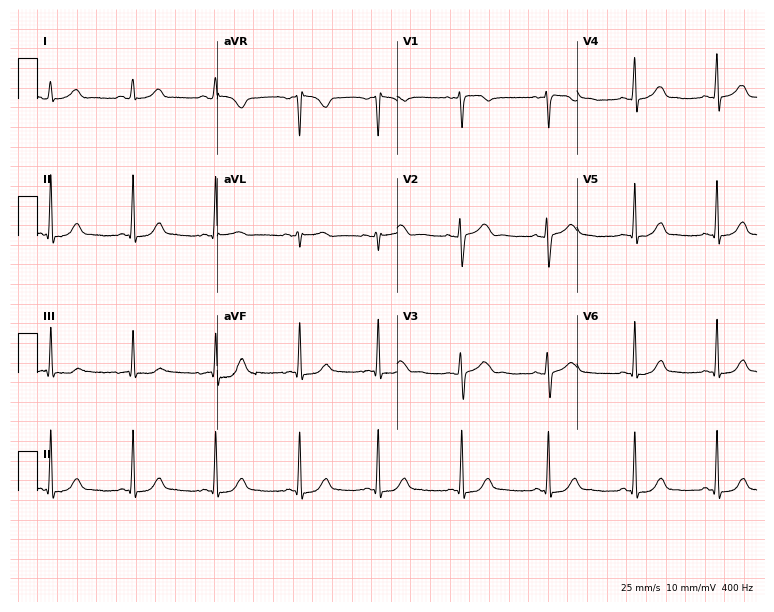
ECG — a female patient, 33 years old. Screened for six findings — first-degree AV block, right bundle branch block, left bundle branch block, sinus bradycardia, atrial fibrillation, sinus tachycardia — none is recorded.